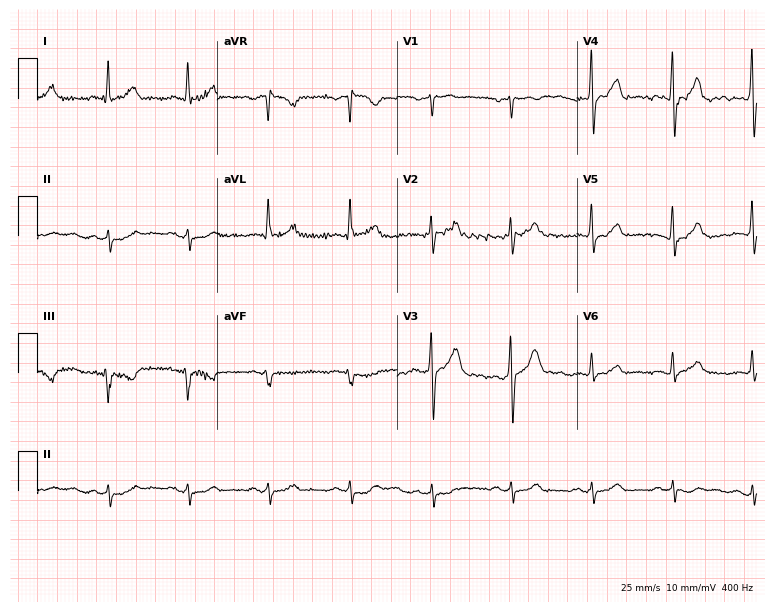
12-lead ECG from a 54-year-old male. Screened for six findings — first-degree AV block, right bundle branch block, left bundle branch block, sinus bradycardia, atrial fibrillation, sinus tachycardia — none is recorded.